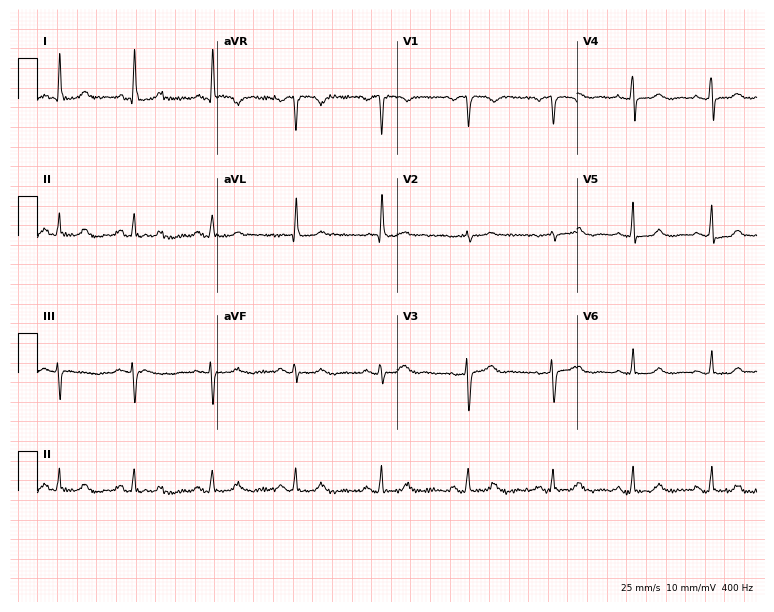
12-lead ECG from a female patient, 63 years old. No first-degree AV block, right bundle branch block, left bundle branch block, sinus bradycardia, atrial fibrillation or sinus tachycardia recorded for this tracing.